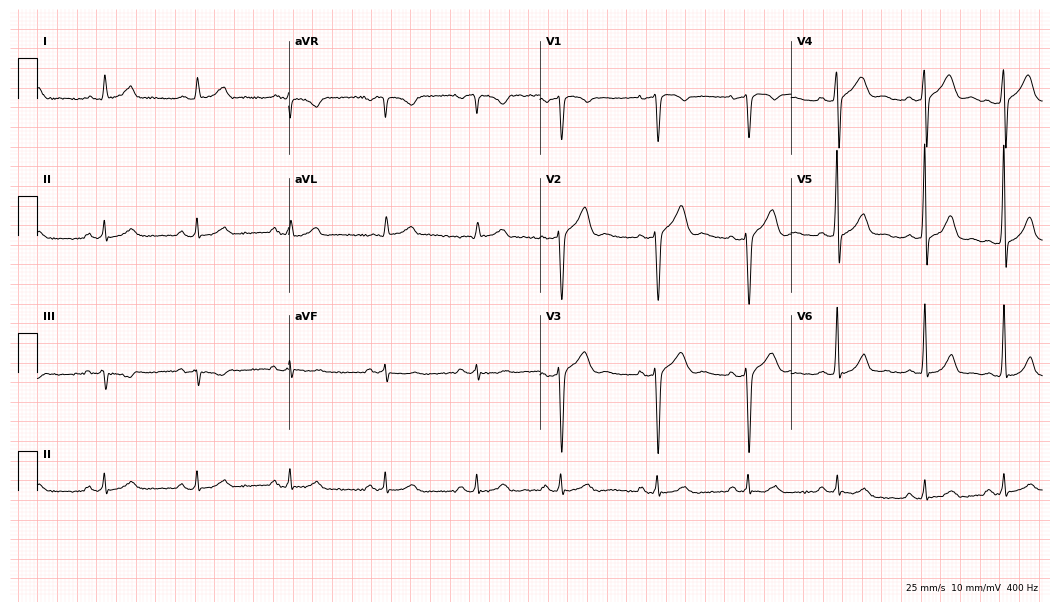
Electrocardiogram (10.2-second recording at 400 Hz), a 41-year-old male. Of the six screened findings (first-degree AV block, right bundle branch block, left bundle branch block, sinus bradycardia, atrial fibrillation, sinus tachycardia), none is recorded.